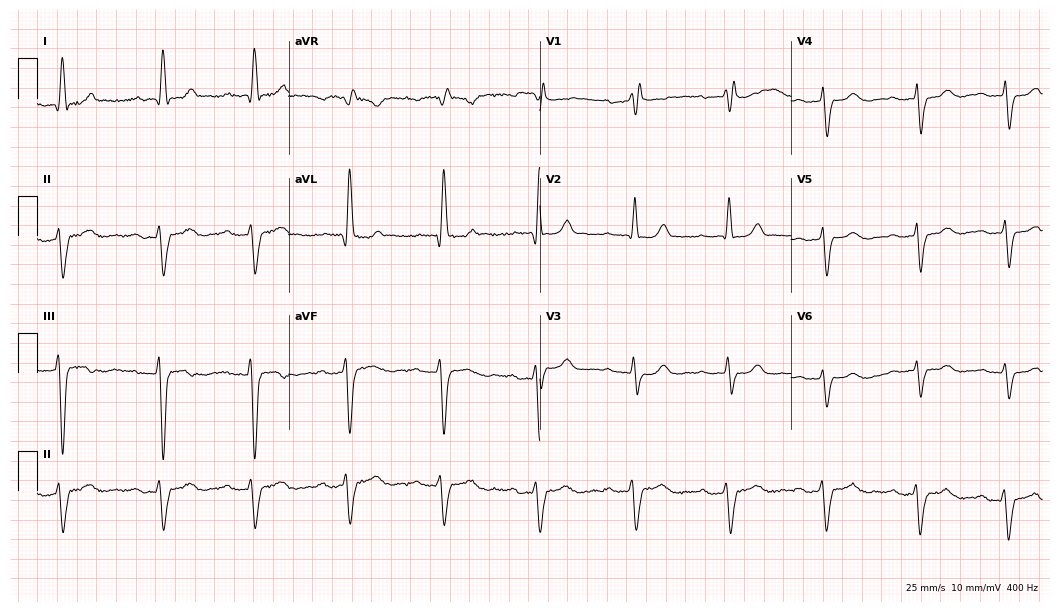
Resting 12-lead electrocardiogram. Patient: a 74-year-old female. The tracing shows first-degree AV block, right bundle branch block (RBBB).